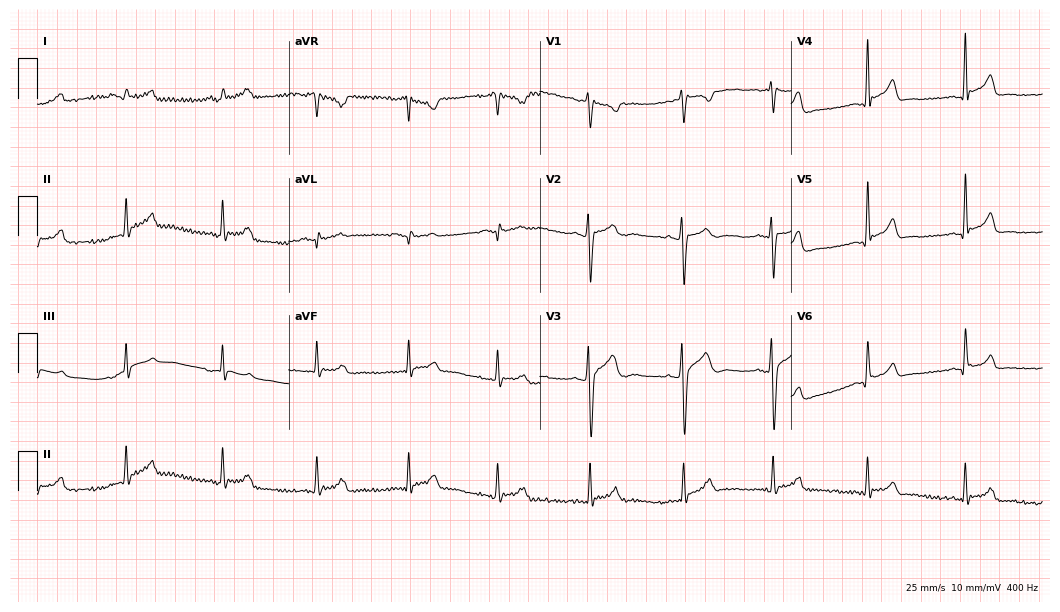
12-lead ECG from a man, 25 years old. Labelled as a normal ECG.